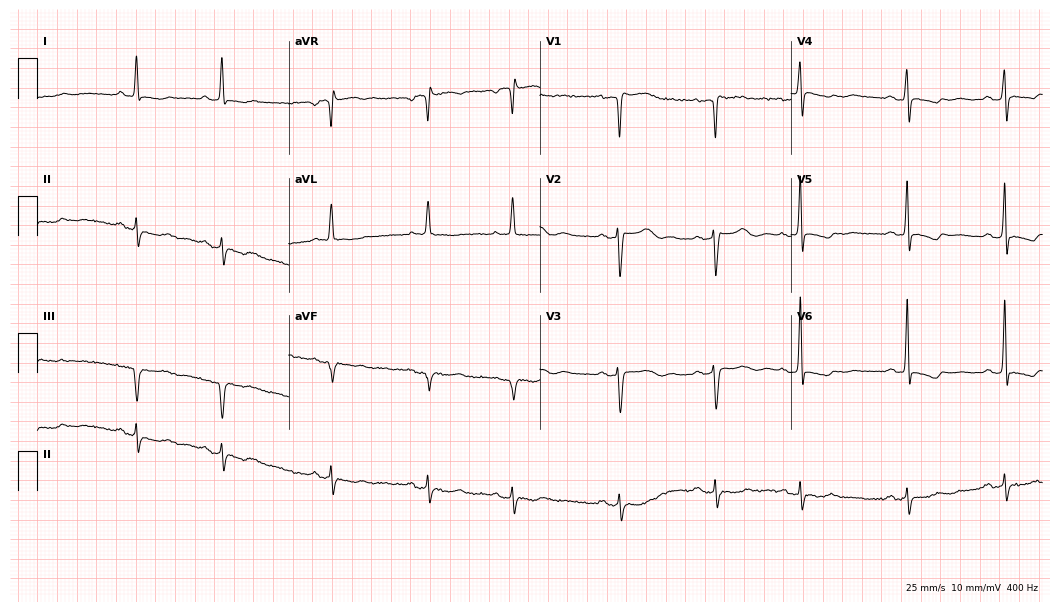
ECG (10.2-second recording at 400 Hz) — a 66-year-old female patient. Screened for six findings — first-degree AV block, right bundle branch block (RBBB), left bundle branch block (LBBB), sinus bradycardia, atrial fibrillation (AF), sinus tachycardia — none is recorded. Findings outside these six are not listed.